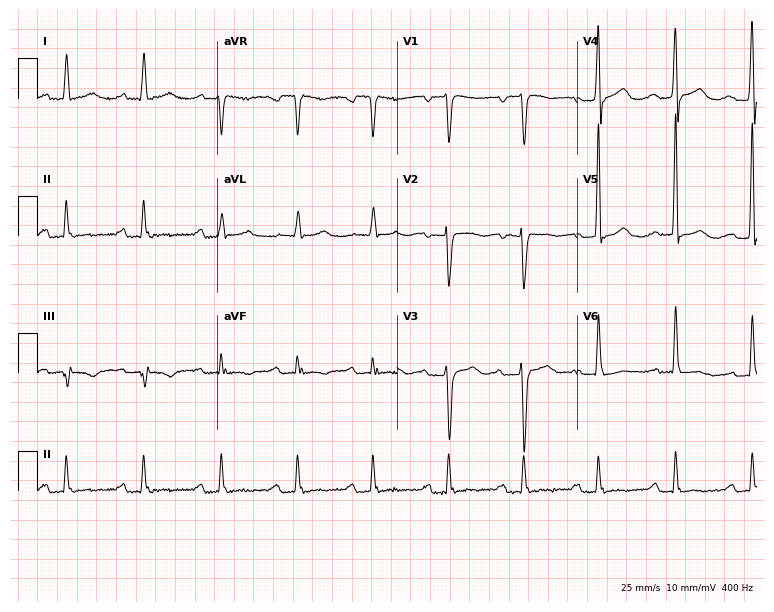
12-lead ECG from a 79-year-old female (7.3-second recording at 400 Hz). Shows first-degree AV block.